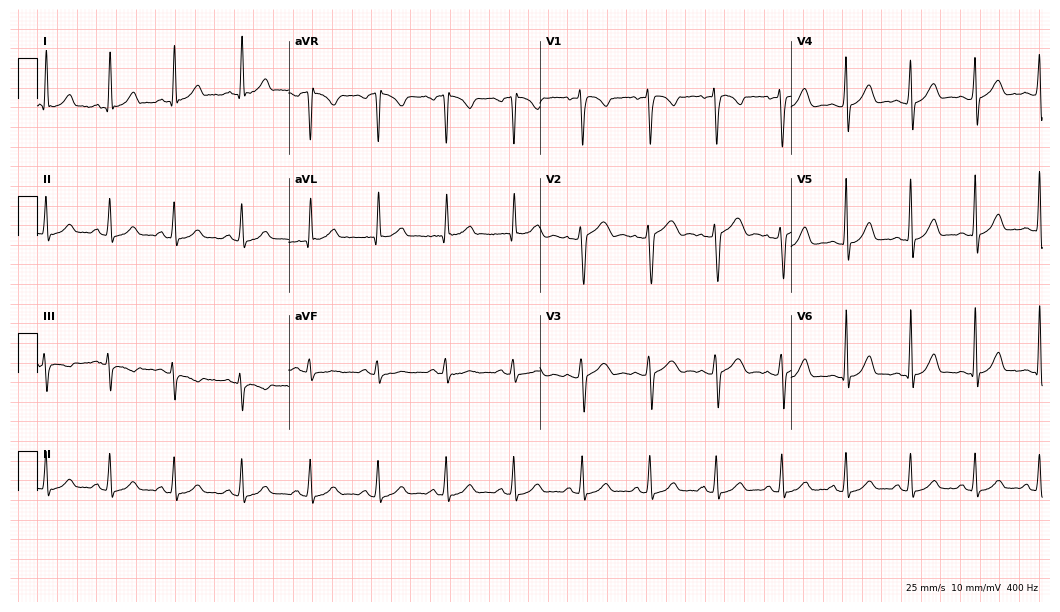
Resting 12-lead electrocardiogram (10.2-second recording at 400 Hz). Patient: a female, 40 years old. Read as a normal ECG.